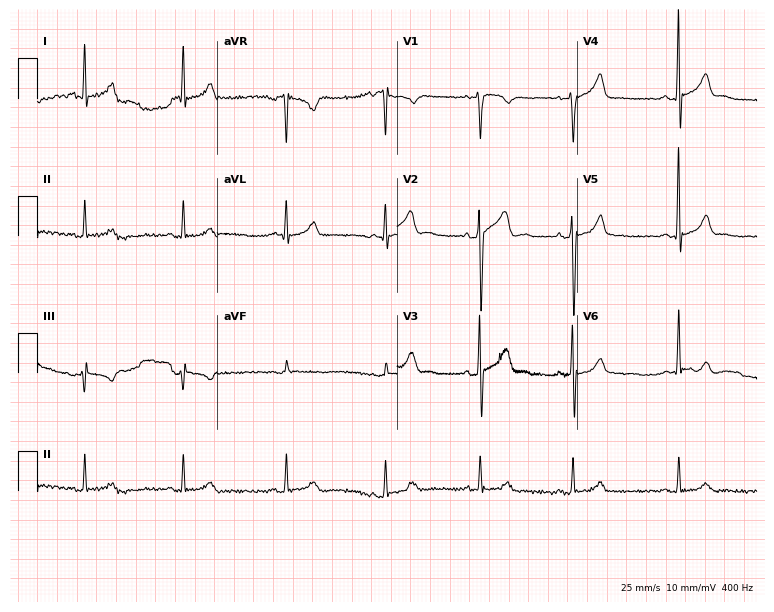
Standard 12-lead ECG recorded from a 36-year-old man. None of these six findings is recorded: first-degree AV block, right bundle branch block, left bundle branch block, sinus bradycardia, atrial fibrillation, sinus tachycardia.